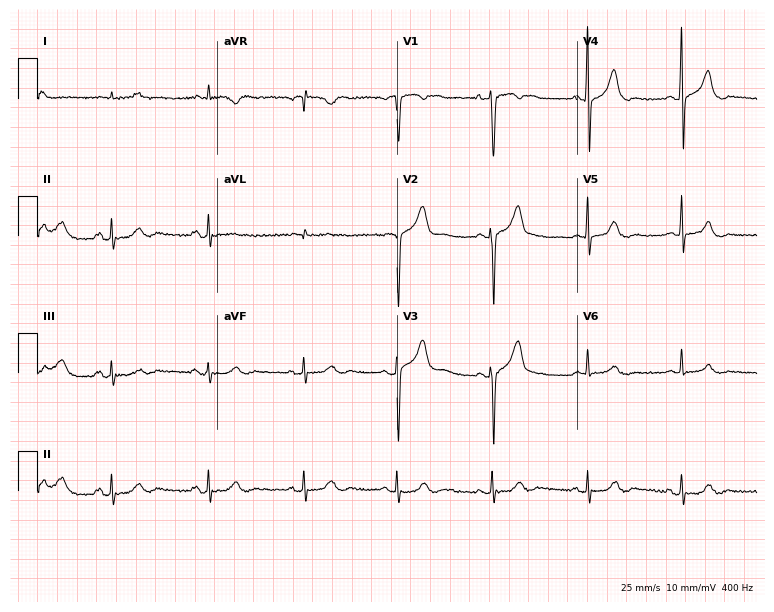
Resting 12-lead electrocardiogram. Patient: a 73-year-old man. None of these six findings is recorded: first-degree AV block, right bundle branch block (RBBB), left bundle branch block (LBBB), sinus bradycardia, atrial fibrillation (AF), sinus tachycardia.